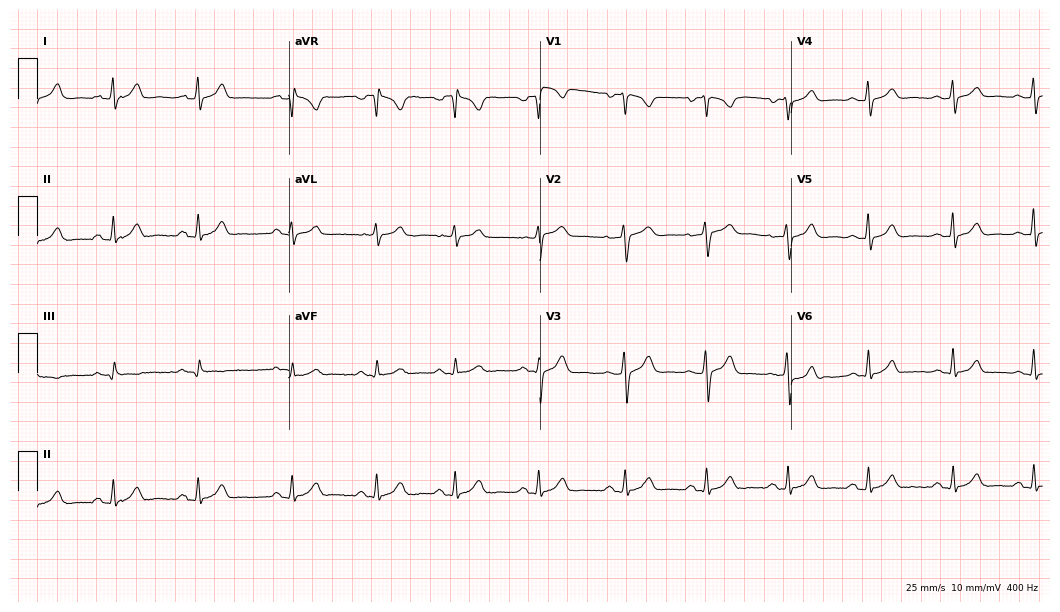
12-lead ECG from a 25-year-old female patient. Recorded interpretation: within normal limits.